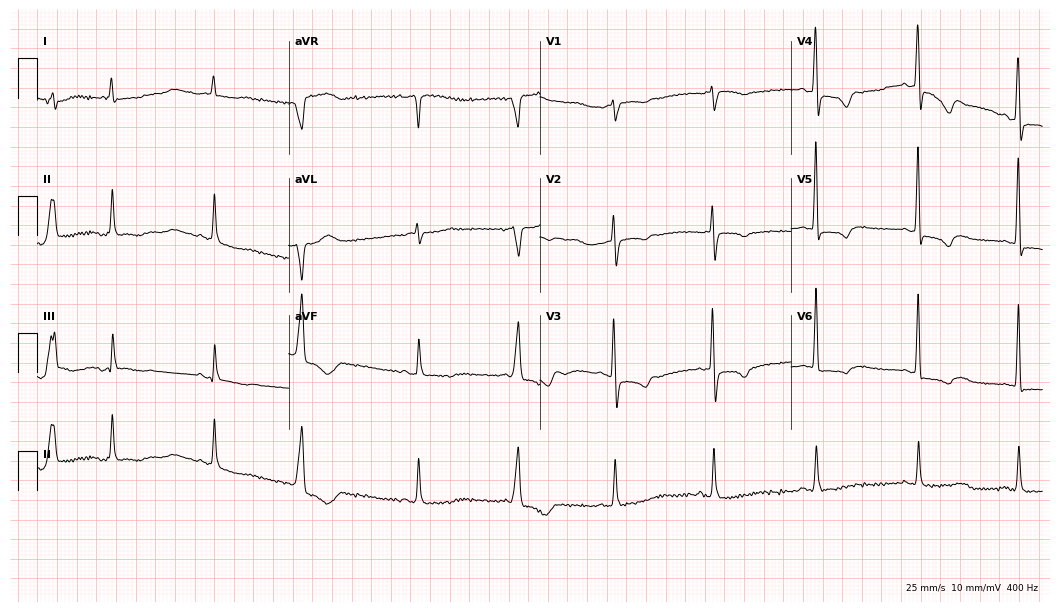
12-lead ECG (10.2-second recording at 400 Hz) from a woman, 82 years old. Screened for six findings — first-degree AV block, right bundle branch block, left bundle branch block, sinus bradycardia, atrial fibrillation, sinus tachycardia — none is recorded. Only these six findings were labelled.